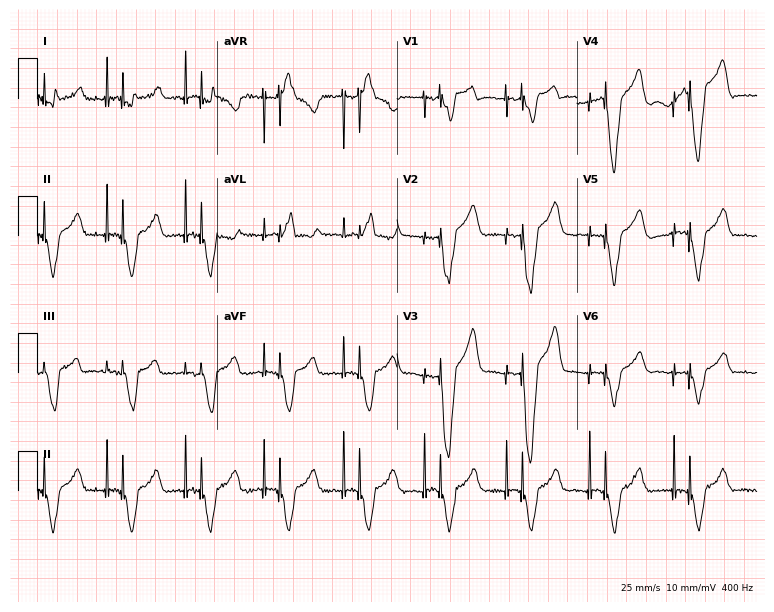
Standard 12-lead ECG recorded from a 78-year-old man (7.3-second recording at 400 Hz). None of these six findings is recorded: first-degree AV block, right bundle branch block (RBBB), left bundle branch block (LBBB), sinus bradycardia, atrial fibrillation (AF), sinus tachycardia. Only these six findings were labelled.